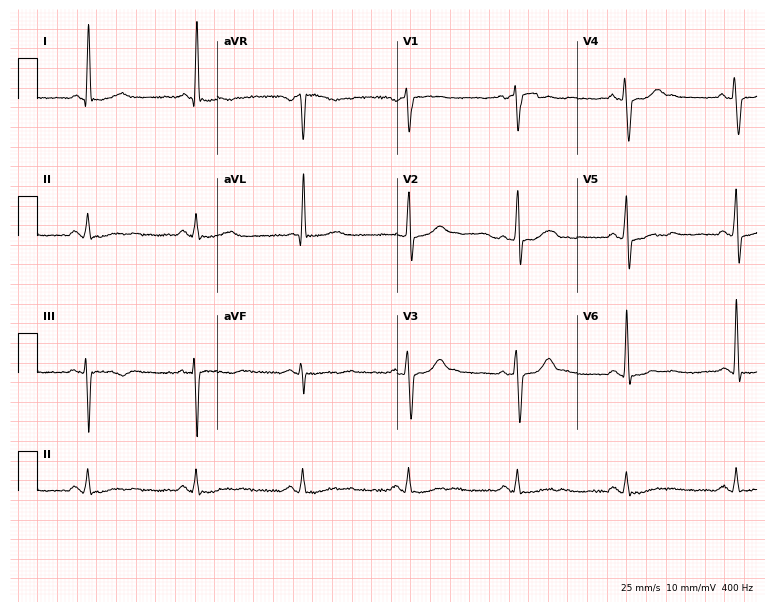
12-lead ECG from a 53-year-old male. Screened for six findings — first-degree AV block, right bundle branch block, left bundle branch block, sinus bradycardia, atrial fibrillation, sinus tachycardia — none is recorded. Other findings, if any, are not listed.